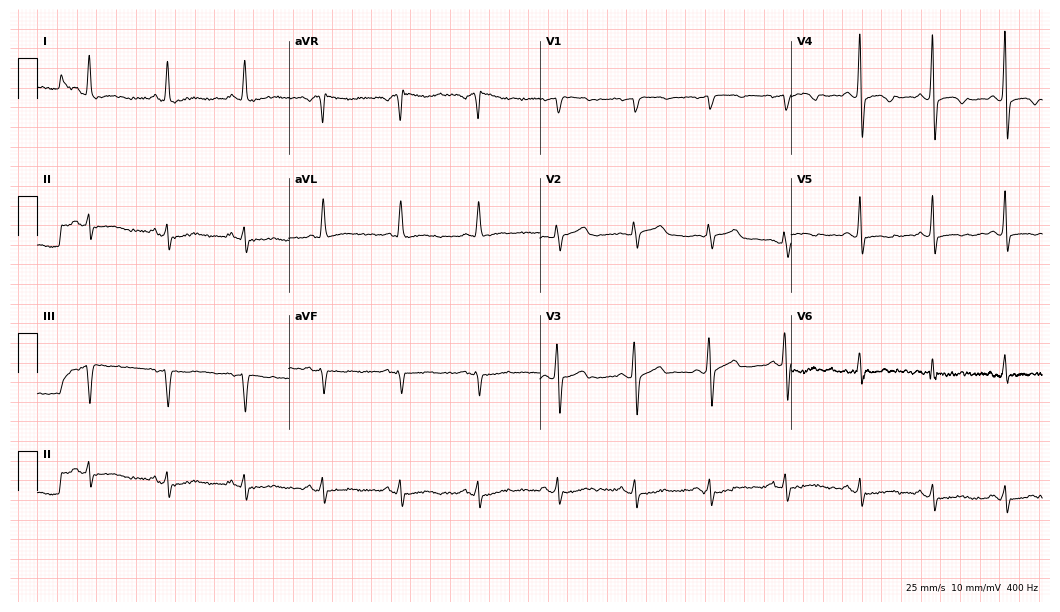
Resting 12-lead electrocardiogram. Patient: a female, 63 years old. None of these six findings is recorded: first-degree AV block, right bundle branch block (RBBB), left bundle branch block (LBBB), sinus bradycardia, atrial fibrillation (AF), sinus tachycardia.